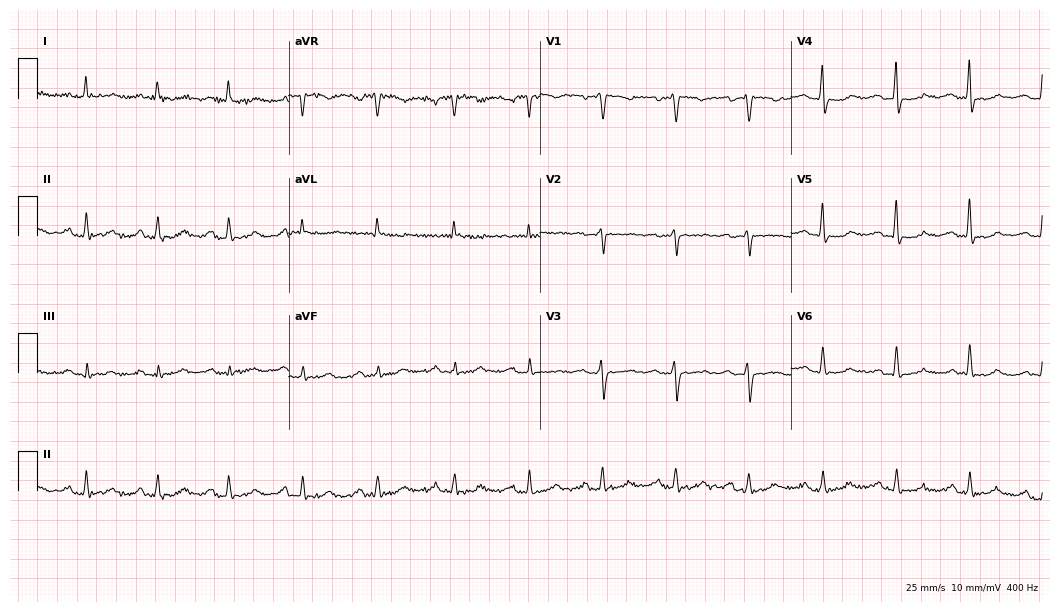
12-lead ECG from a female patient, 50 years old. Shows first-degree AV block.